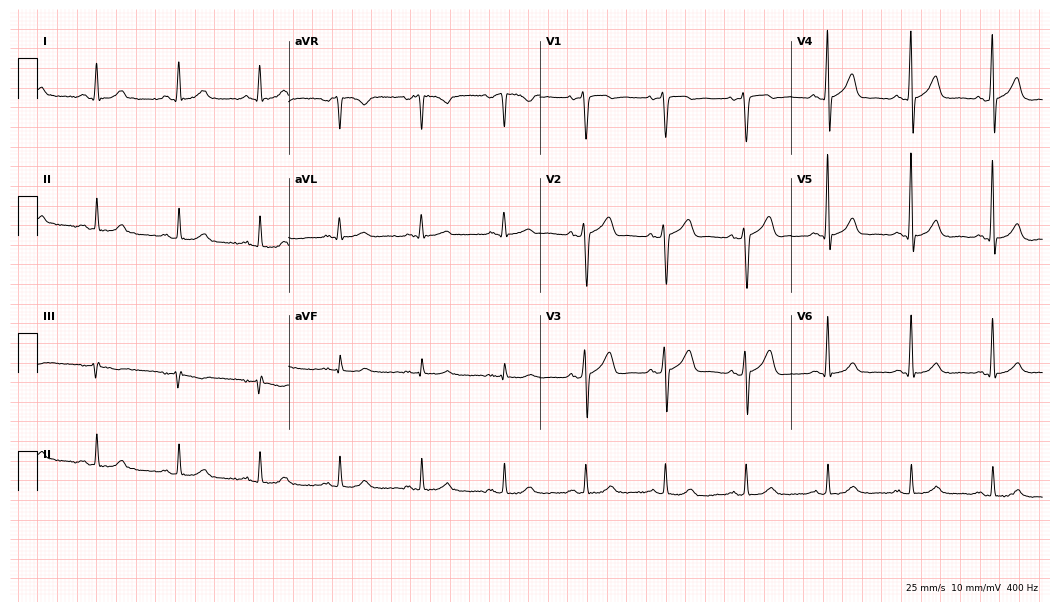
12-lead ECG from a 55-year-old male patient. No first-degree AV block, right bundle branch block (RBBB), left bundle branch block (LBBB), sinus bradycardia, atrial fibrillation (AF) or sinus tachycardia recorded for this tracing. Only these six findings were labelled.